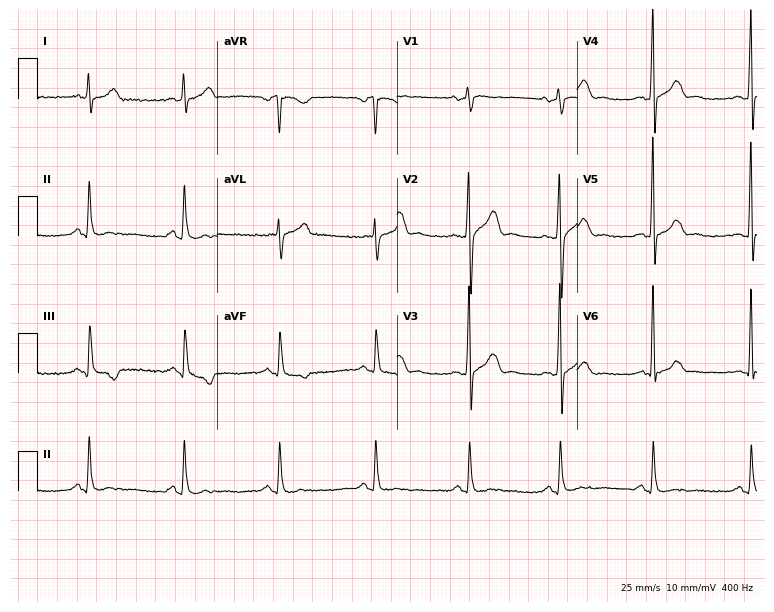
12-lead ECG from a 40-year-old male patient. Screened for six findings — first-degree AV block, right bundle branch block, left bundle branch block, sinus bradycardia, atrial fibrillation, sinus tachycardia — none is recorded. Findings outside these six are not listed.